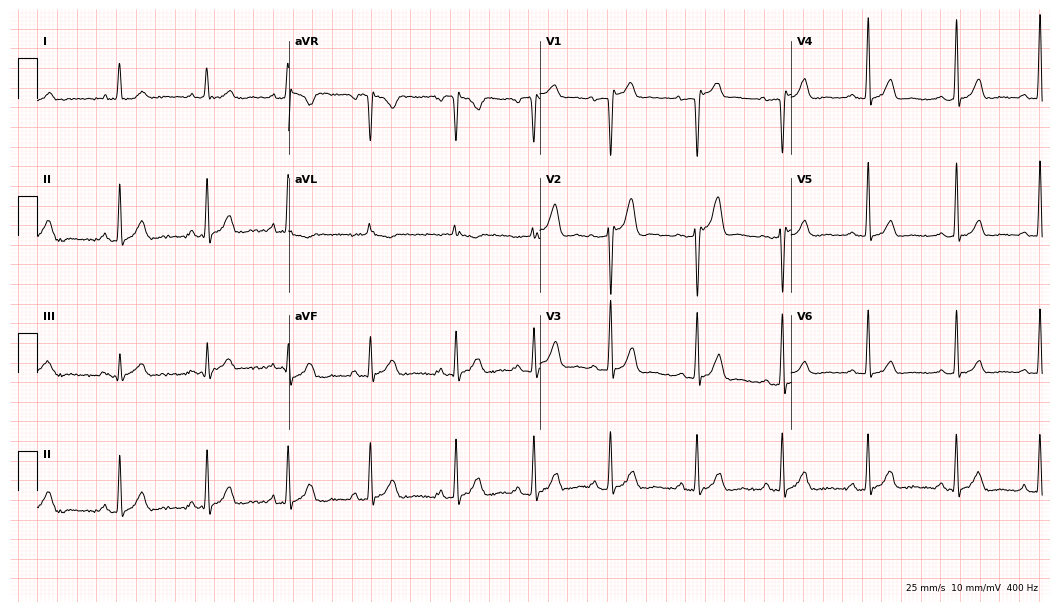
ECG — a man, 25 years old. Screened for six findings — first-degree AV block, right bundle branch block, left bundle branch block, sinus bradycardia, atrial fibrillation, sinus tachycardia — none is recorded. Findings outside these six are not listed.